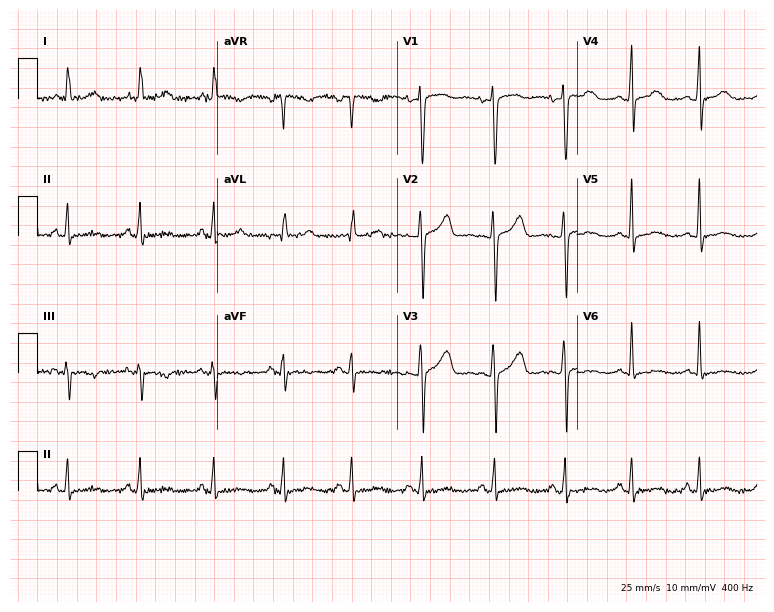
Electrocardiogram (7.3-second recording at 400 Hz), a 41-year-old female patient. Of the six screened findings (first-degree AV block, right bundle branch block, left bundle branch block, sinus bradycardia, atrial fibrillation, sinus tachycardia), none is recorded.